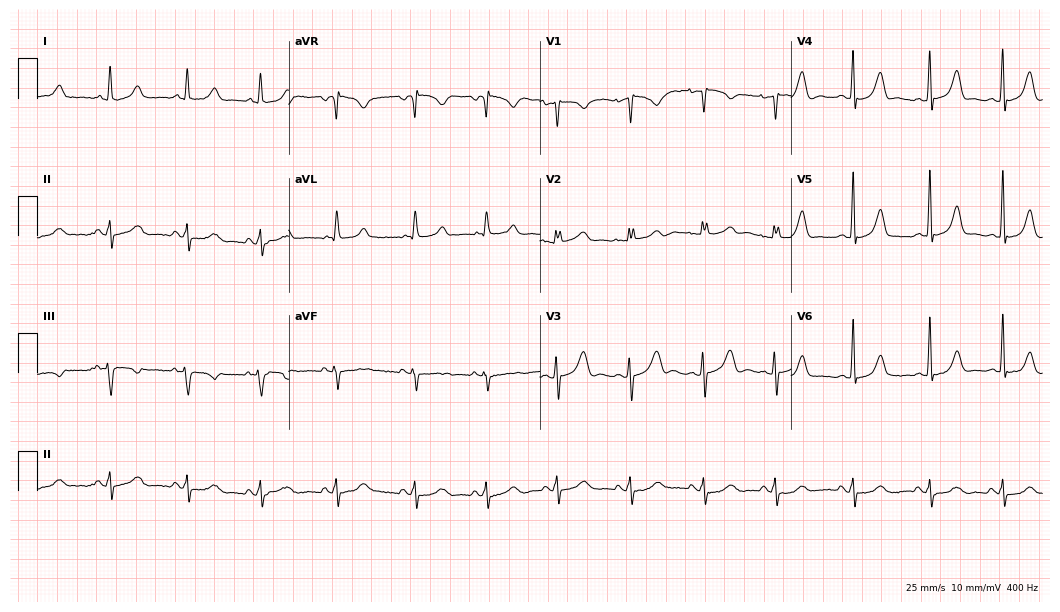
Resting 12-lead electrocardiogram (10.2-second recording at 400 Hz). Patient: a female, 26 years old. Read as a normal ECG.